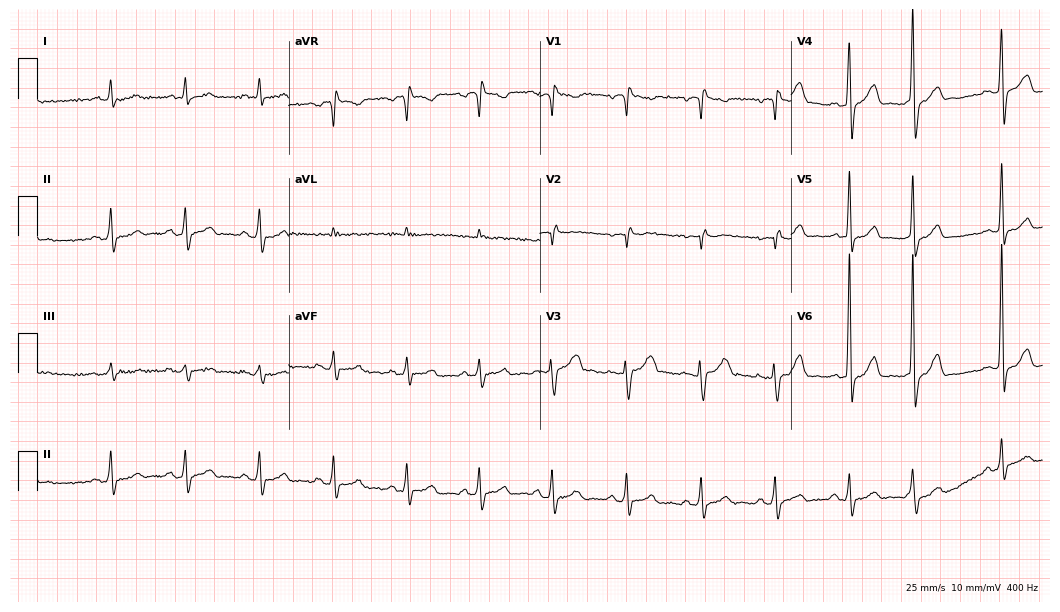
Electrocardiogram (10.2-second recording at 400 Hz), a 56-year-old male patient. Of the six screened findings (first-degree AV block, right bundle branch block, left bundle branch block, sinus bradycardia, atrial fibrillation, sinus tachycardia), none is recorded.